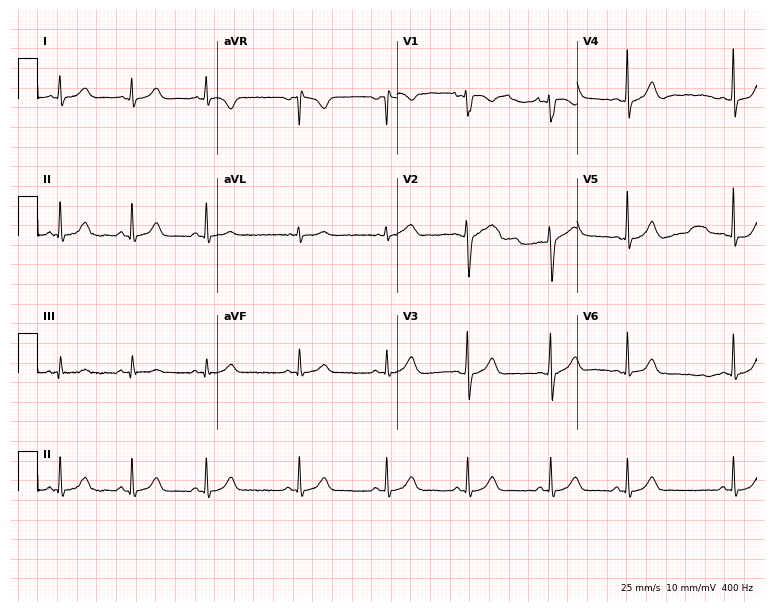
Standard 12-lead ECG recorded from a 24-year-old female patient. None of these six findings is recorded: first-degree AV block, right bundle branch block, left bundle branch block, sinus bradycardia, atrial fibrillation, sinus tachycardia. Other findings, if any, are not listed.